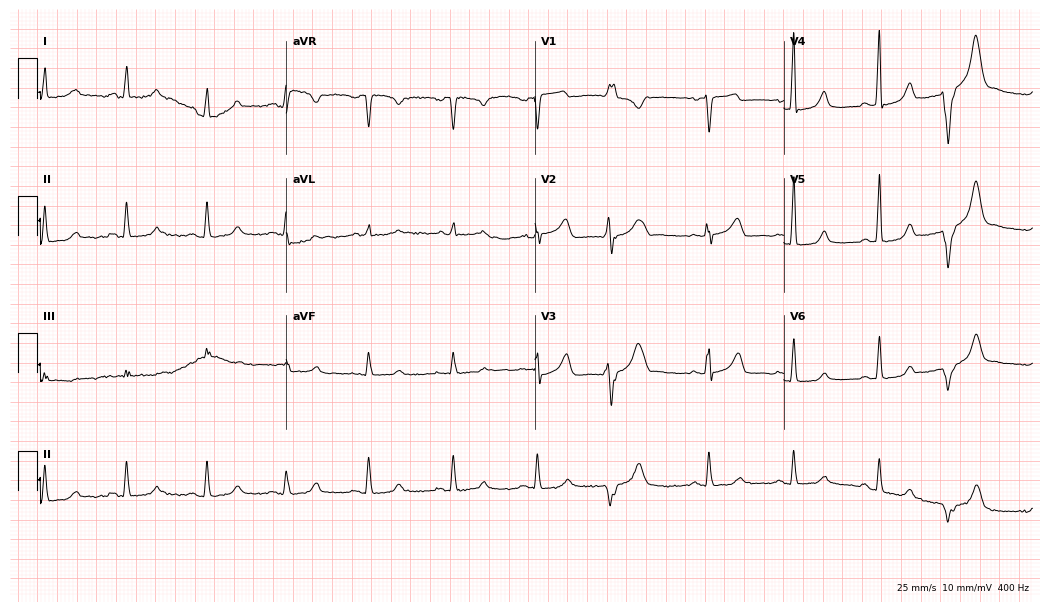
ECG — a 67-year-old woman. Screened for six findings — first-degree AV block, right bundle branch block, left bundle branch block, sinus bradycardia, atrial fibrillation, sinus tachycardia — none is recorded.